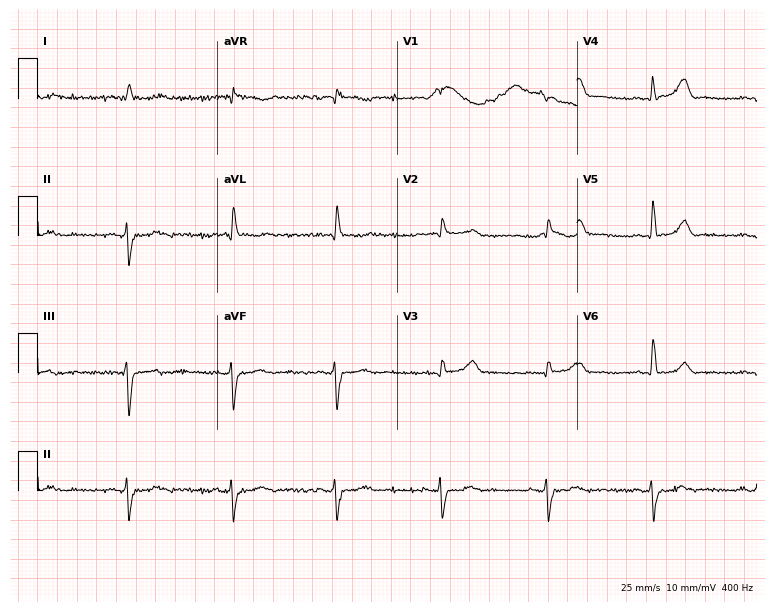
ECG (7.3-second recording at 400 Hz) — an 80-year-old male. Screened for six findings — first-degree AV block, right bundle branch block, left bundle branch block, sinus bradycardia, atrial fibrillation, sinus tachycardia — none is recorded.